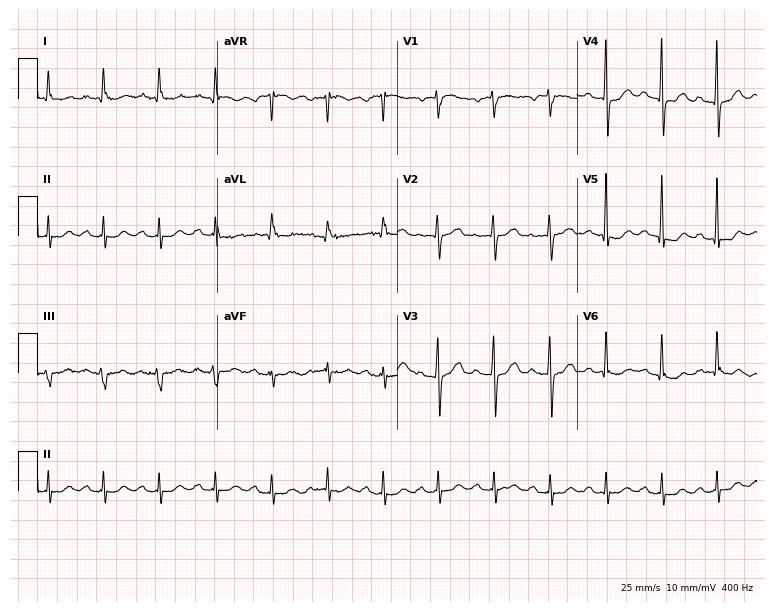
12-lead ECG from a 70-year-old male patient. Findings include sinus tachycardia (a sinus rate of 100 beats per minute or more).